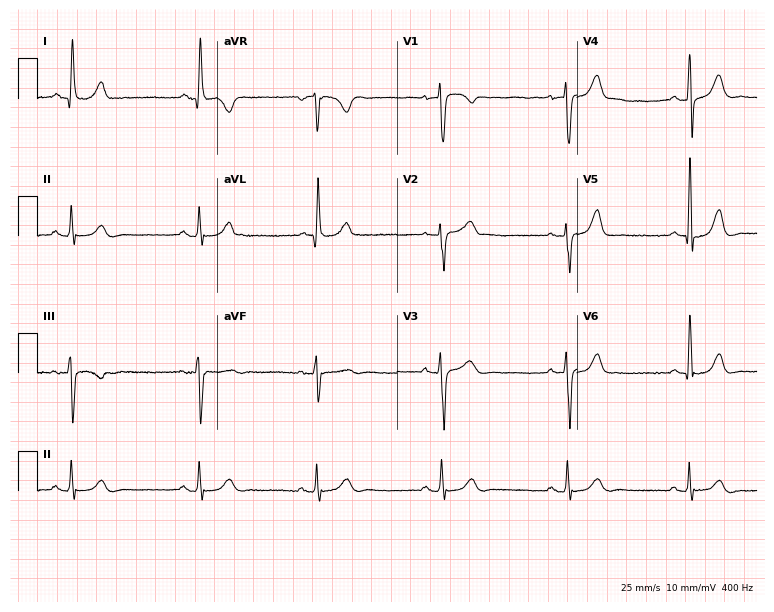
Standard 12-lead ECG recorded from a male patient, 79 years old. The tracing shows sinus bradycardia (a sinus rate of 50 beats per minute or less).